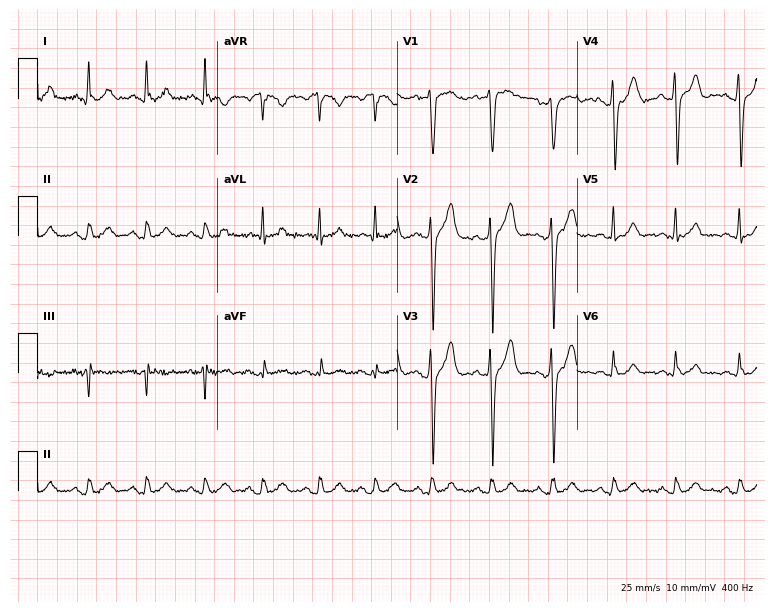
ECG — a man, 38 years old. Screened for six findings — first-degree AV block, right bundle branch block, left bundle branch block, sinus bradycardia, atrial fibrillation, sinus tachycardia — none is recorded. Only these six findings were labelled.